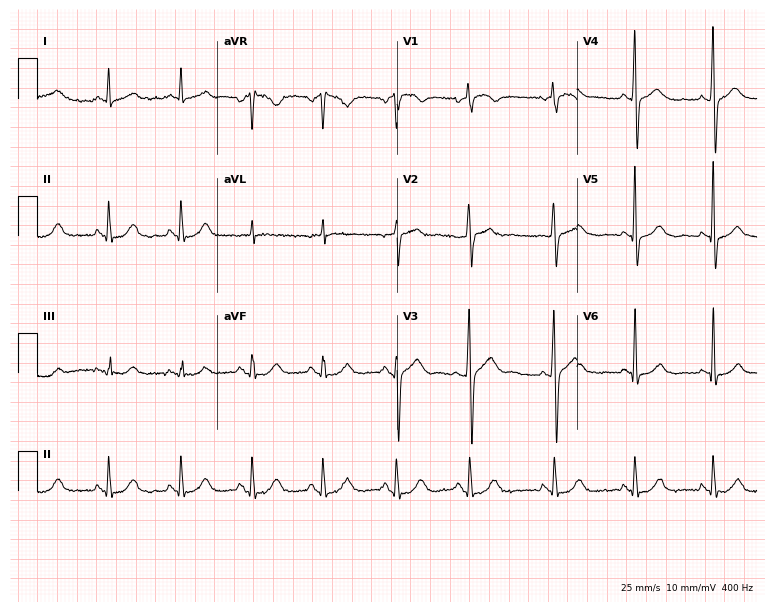
12-lead ECG from a 51-year-old female. No first-degree AV block, right bundle branch block, left bundle branch block, sinus bradycardia, atrial fibrillation or sinus tachycardia recorded for this tracing.